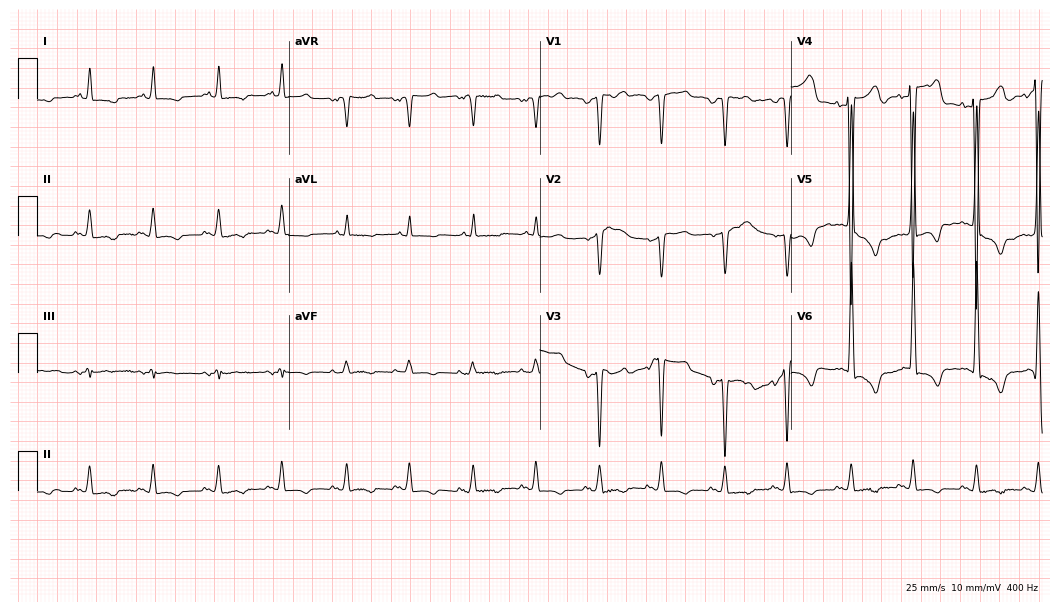
12-lead ECG from a male, 31 years old. No first-degree AV block, right bundle branch block, left bundle branch block, sinus bradycardia, atrial fibrillation or sinus tachycardia recorded for this tracing. Findings outside these six are not listed.